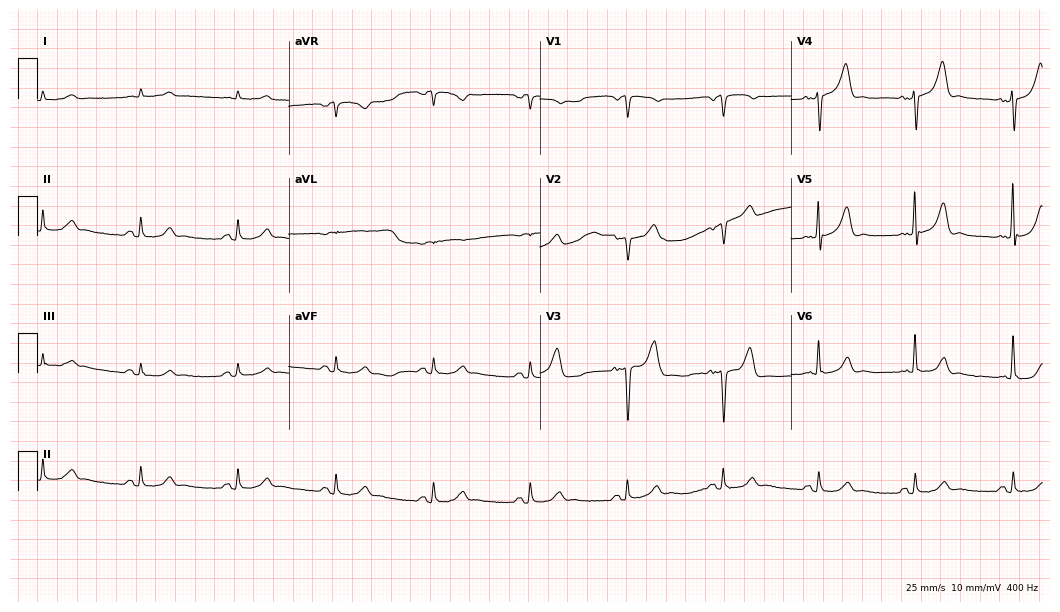
Electrocardiogram (10.2-second recording at 400 Hz), a male, 69 years old. Of the six screened findings (first-degree AV block, right bundle branch block (RBBB), left bundle branch block (LBBB), sinus bradycardia, atrial fibrillation (AF), sinus tachycardia), none is recorded. Only these six findings were labelled.